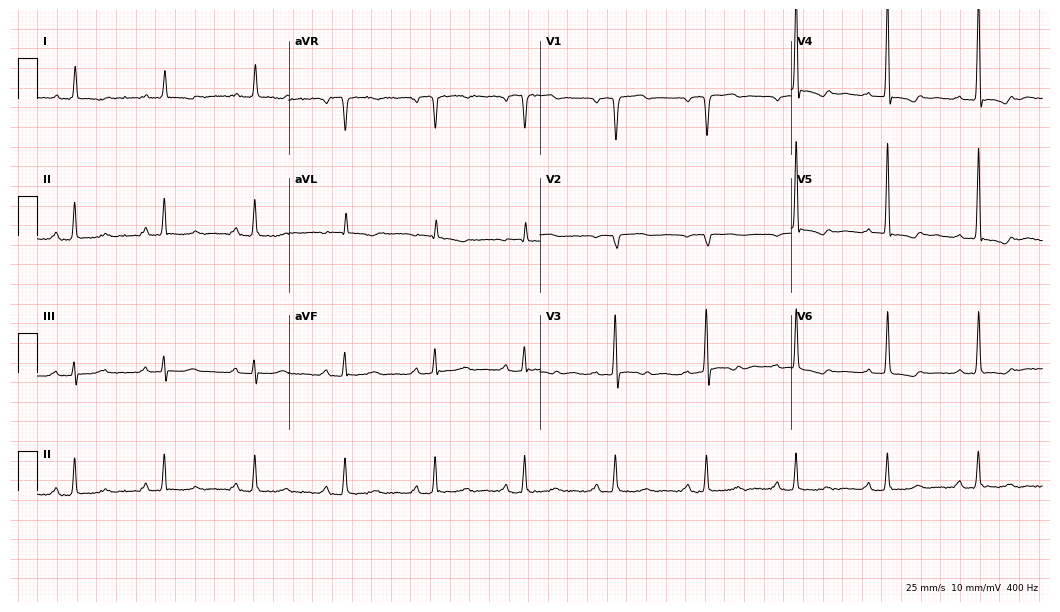
12-lead ECG from a 75-year-old male. Screened for six findings — first-degree AV block, right bundle branch block, left bundle branch block, sinus bradycardia, atrial fibrillation, sinus tachycardia — none is recorded.